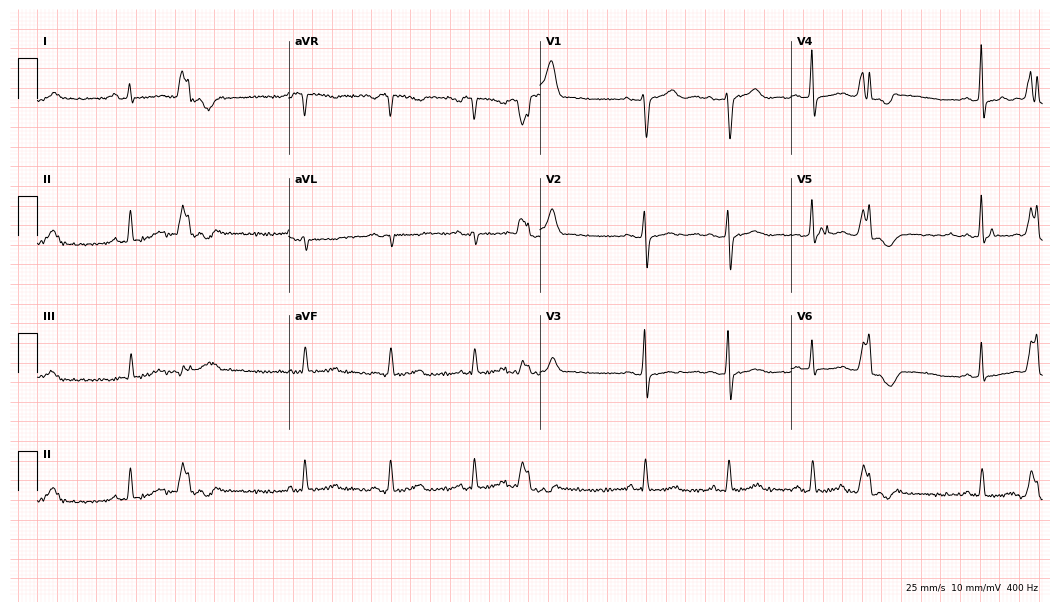
Standard 12-lead ECG recorded from a woman, 74 years old (10.2-second recording at 400 Hz). Read as a normal ECG.